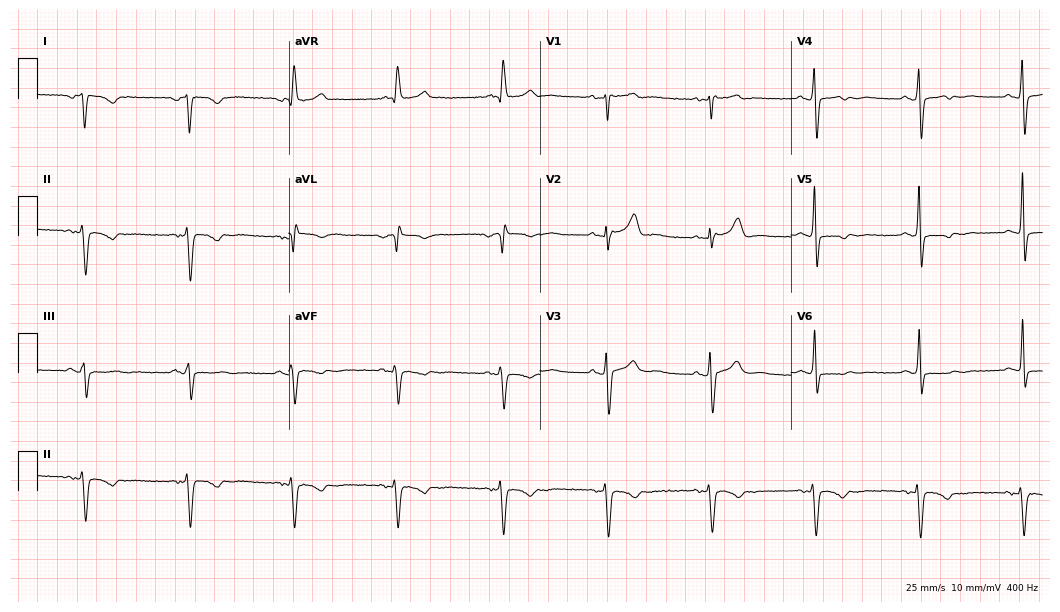
Standard 12-lead ECG recorded from a 62-year-old male. None of these six findings is recorded: first-degree AV block, right bundle branch block, left bundle branch block, sinus bradycardia, atrial fibrillation, sinus tachycardia.